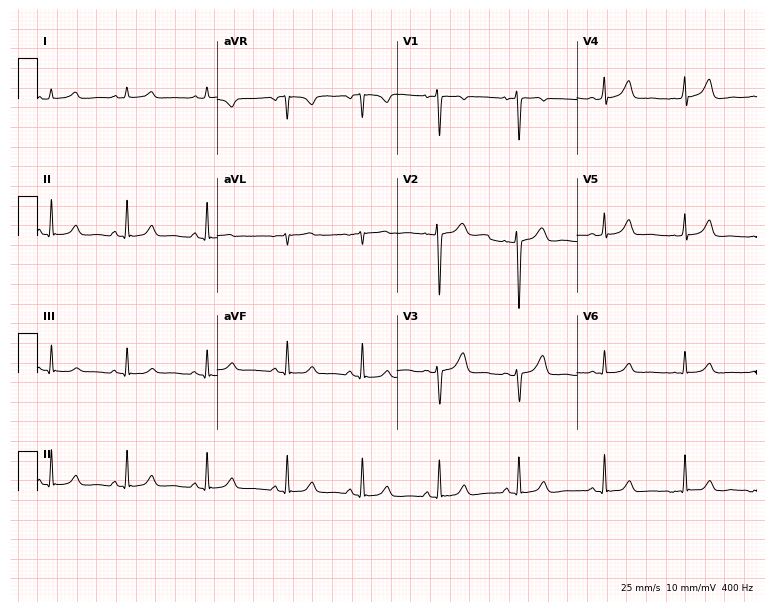
Electrocardiogram (7.3-second recording at 400 Hz), a female, 19 years old. Of the six screened findings (first-degree AV block, right bundle branch block (RBBB), left bundle branch block (LBBB), sinus bradycardia, atrial fibrillation (AF), sinus tachycardia), none is recorded. Findings outside these six are not listed.